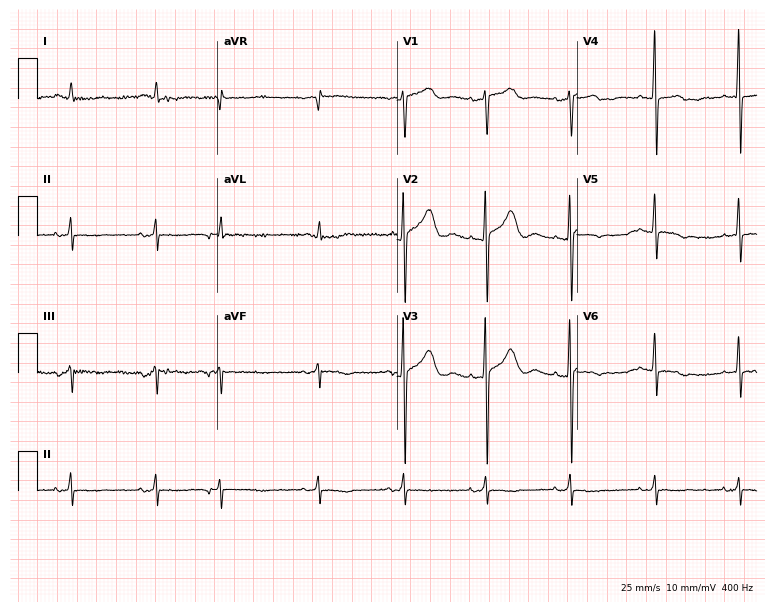
12-lead ECG from a female, 82 years old. Screened for six findings — first-degree AV block, right bundle branch block, left bundle branch block, sinus bradycardia, atrial fibrillation, sinus tachycardia — none is recorded. Only these six findings were labelled.